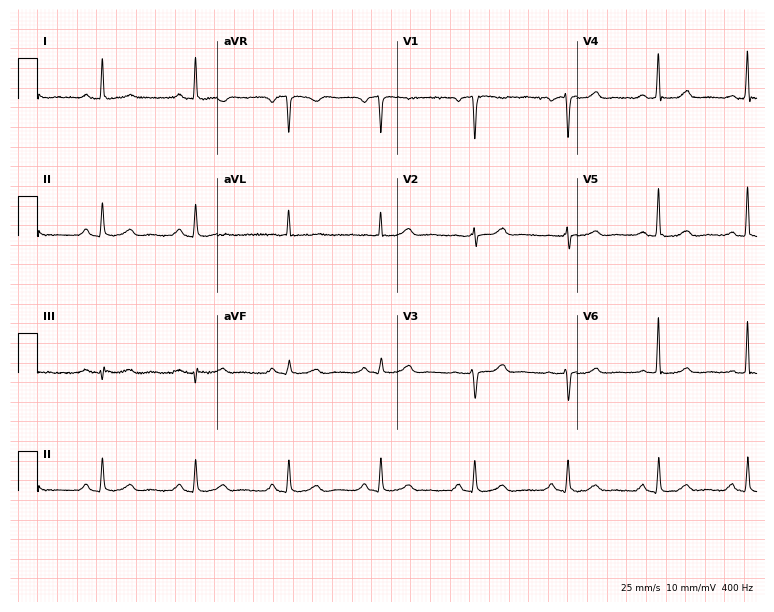
ECG — a 66-year-old female patient. Labelled as a normal ECG.